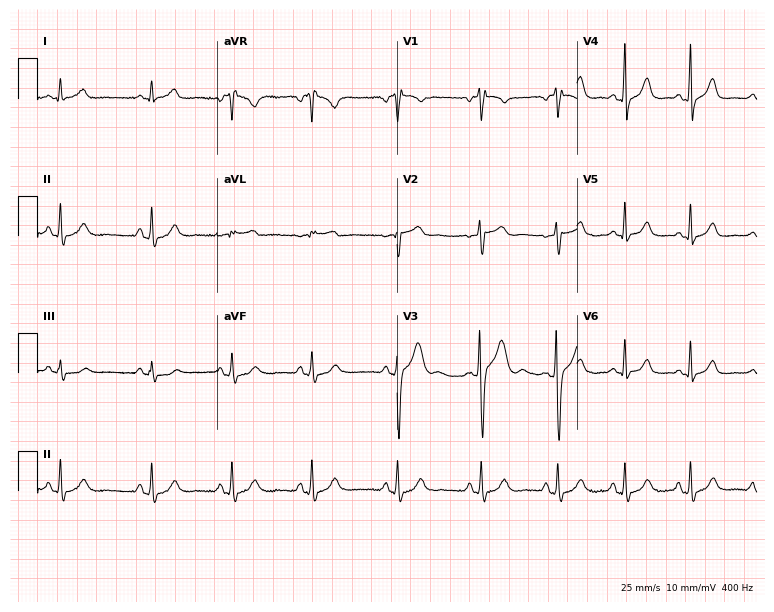
ECG (7.3-second recording at 400 Hz) — a 23-year-old female patient. Screened for six findings — first-degree AV block, right bundle branch block, left bundle branch block, sinus bradycardia, atrial fibrillation, sinus tachycardia — none is recorded.